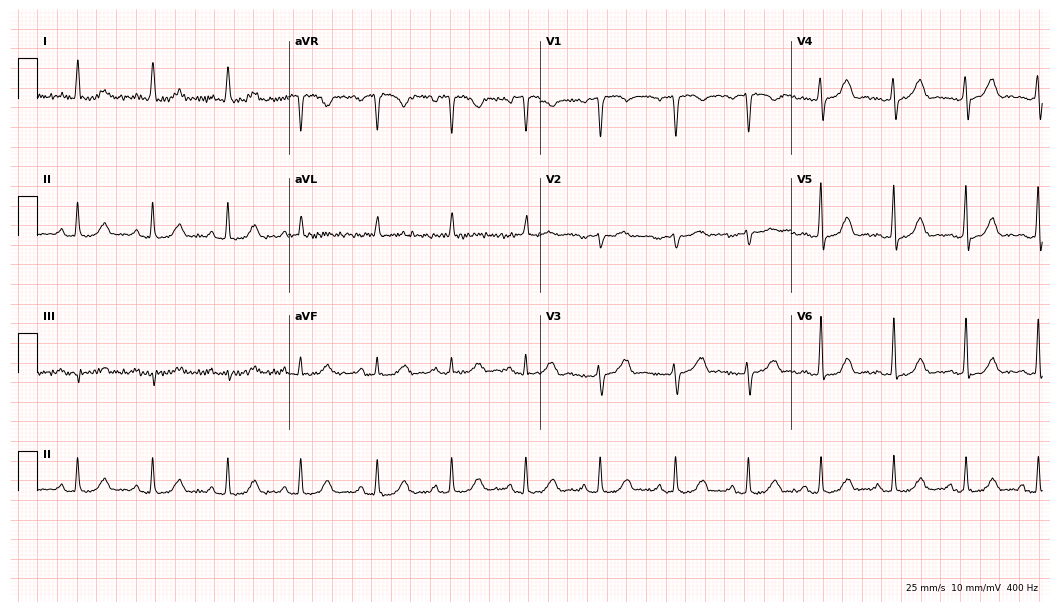
ECG — a 74-year-old woman. Screened for six findings — first-degree AV block, right bundle branch block, left bundle branch block, sinus bradycardia, atrial fibrillation, sinus tachycardia — none is recorded.